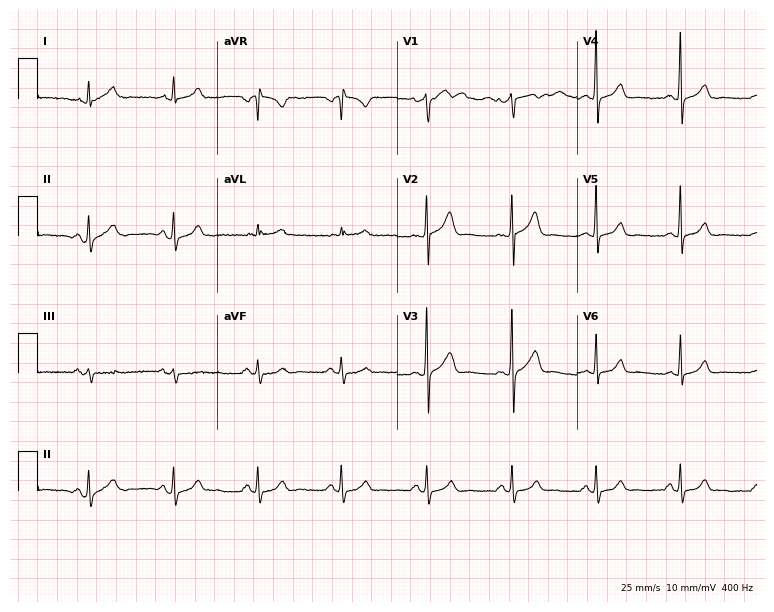
12-lead ECG (7.3-second recording at 400 Hz) from a male patient, 52 years old. Screened for six findings — first-degree AV block, right bundle branch block, left bundle branch block, sinus bradycardia, atrial fibrillation, sinus tachycardia — none is recorded. Other findings, if any, are not listed.